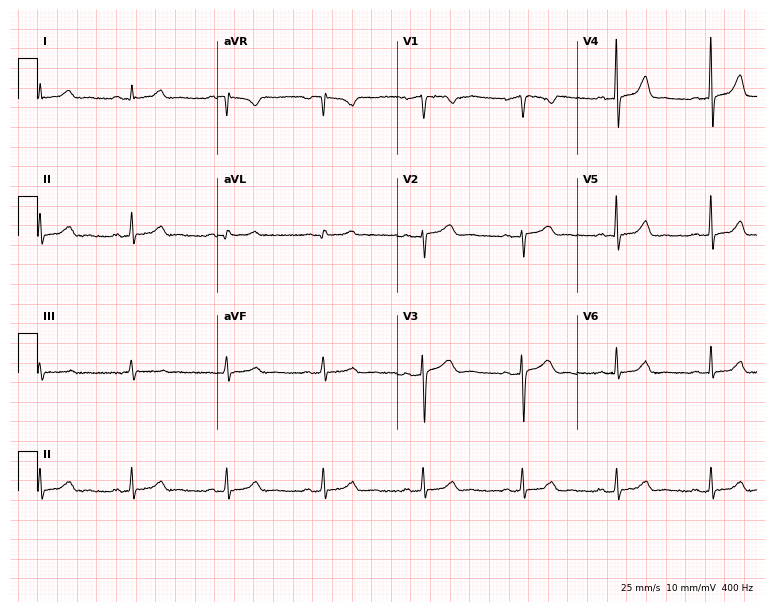
12-lead ECG (7.3-second recording at 400 Hz) from a female, 42 years old. Labelled as a normal ECG.